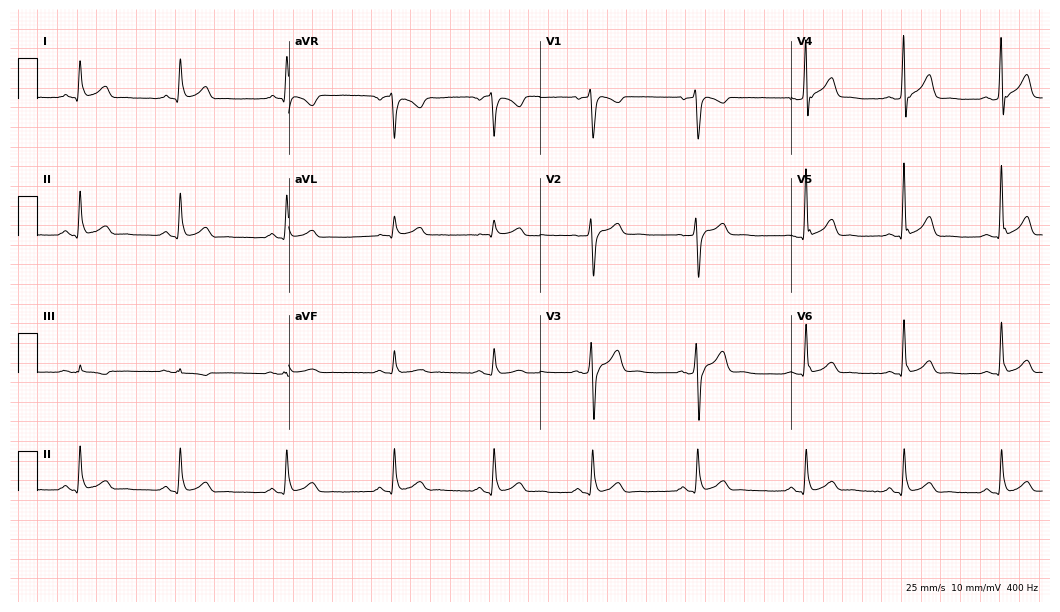
ECG (10.2-second recording at 400 Hz) — a 49-year-old man. Screened for six findings — first-degree AV block, right bundle branch block, left bundle branch block, sinus bradycardia, atrial fibrillation, sinus tachycardia — none is recorded.